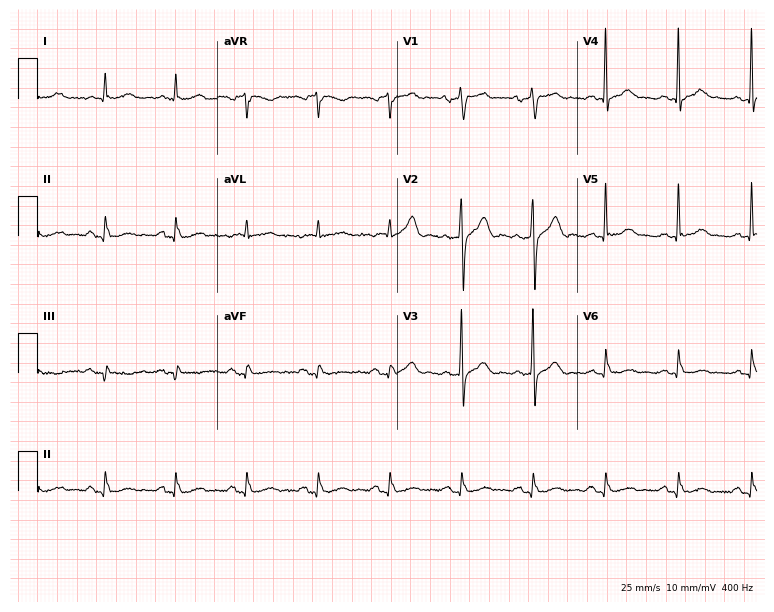
ECG (7.3-second recording at 400 Hz) — a 77-year-old male patient. Labelled as a normal ECG.